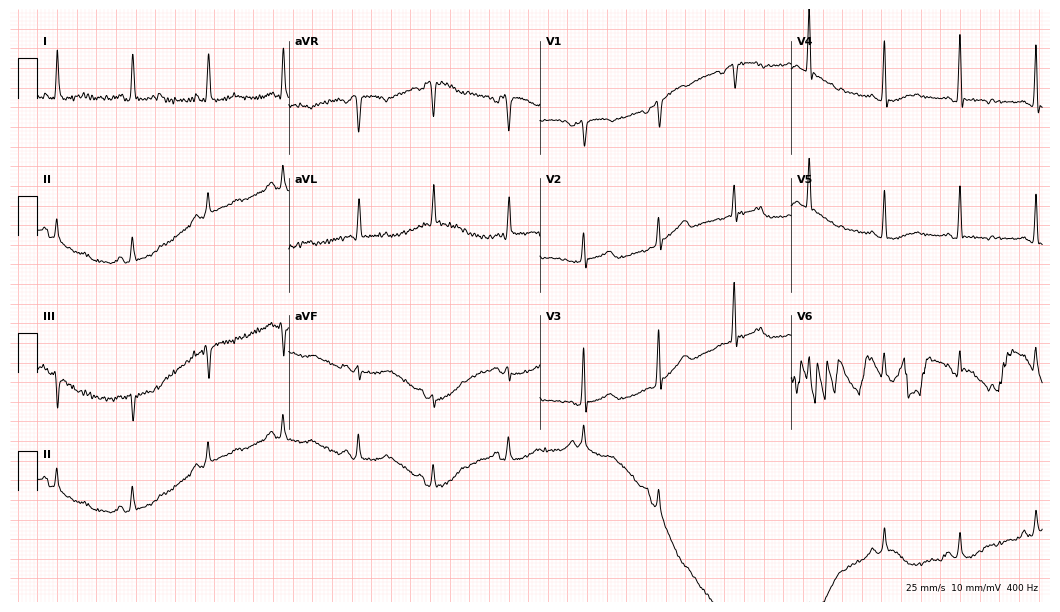
12-lead ECG from a female, 72 years old. Screened for six findings — first-degree AV block, right bundle branch block, left bundle branch block, sinus bradycardia, atrial fibrillation, sinus tachycardia — none is recorded. Only these six findings were labelled.